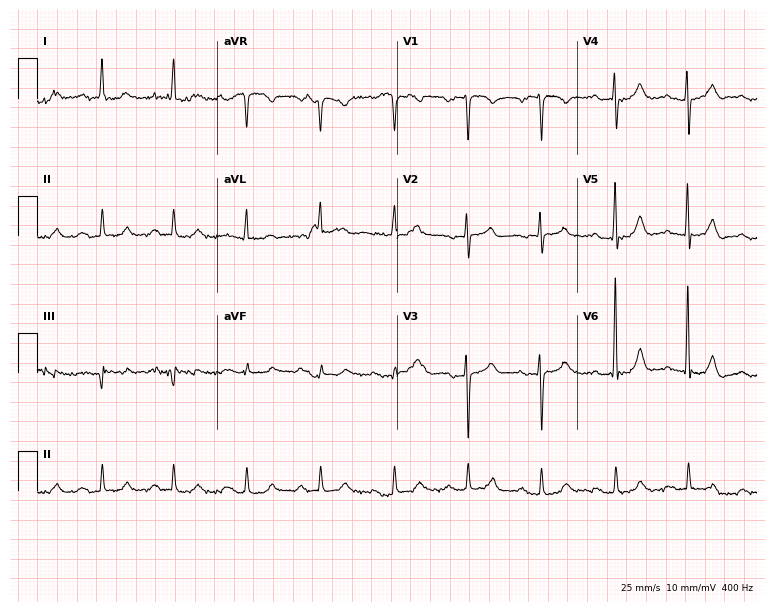
Electrocardiogram (7.3-second recording at 400 Hz), a female patient, 83 years old. Interpretation includes first-degree AV block.